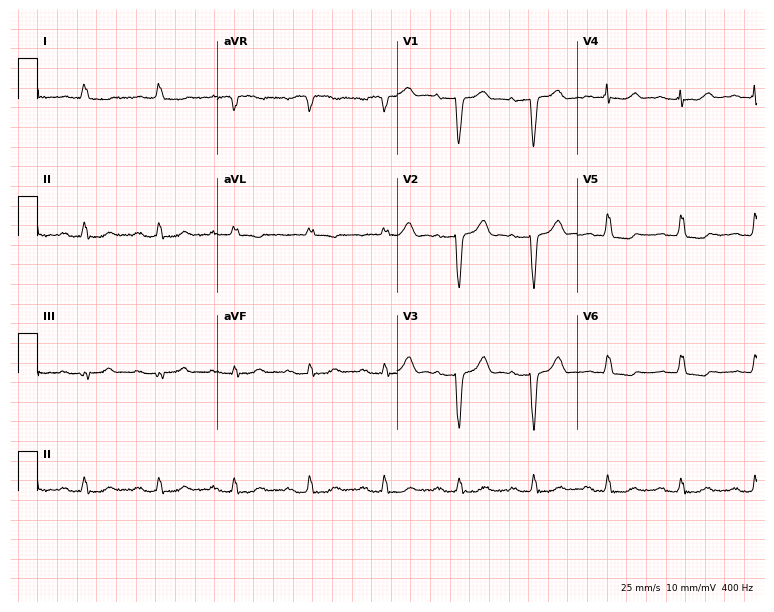
Standard 12-lead ECG recorded from an 85-year-old female patient (7.3-second recording at 400 Hz). None of these six findings is recorded: first-degree AV block, right bundle branch block (RBBB), left bundle branch block (LBBB), sinus bradycardia, atrial fibrillation (AF), sinus tachycardia.